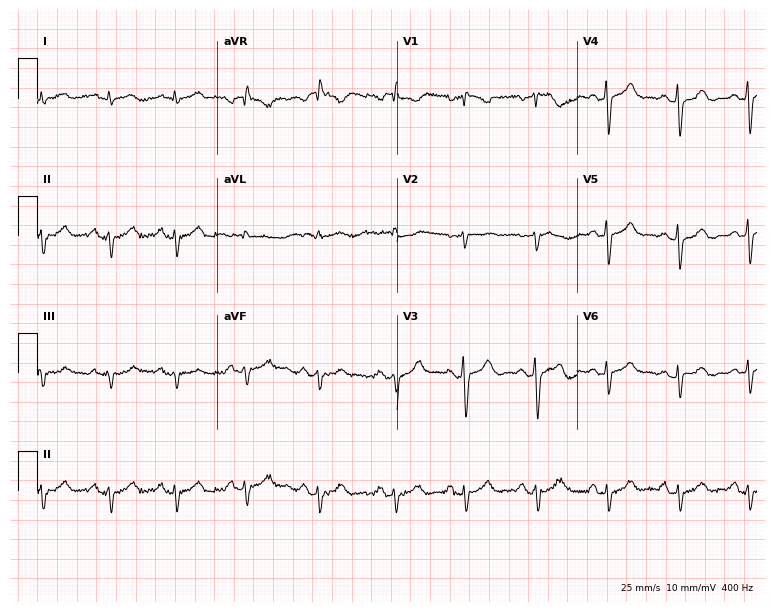
12-lead ECG from a female, 39 years old. No first-degree AV block, right bundle branch block, left bundle branch block, sinus bradycardia, atrial fibrillation or sinus tachycardia recorded for this tracing.